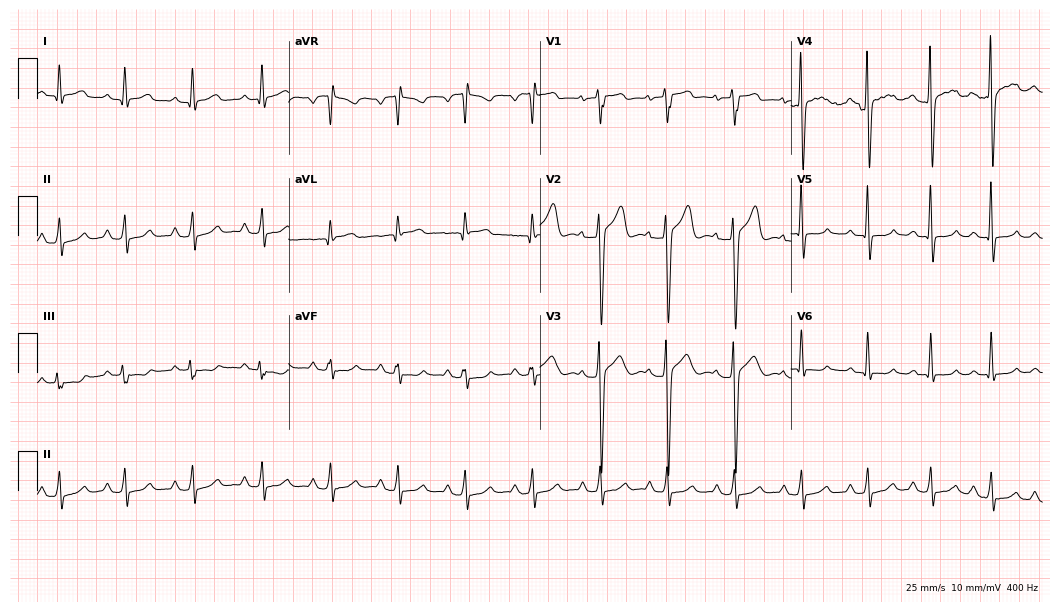
12-lead ECG from a 41-year-old male patient. No first-degree AV block, right bundle branch block, left bundle branch block, sinus bradycardia, atrial fibrillation or sinus tachycardia recorded for this tracing.